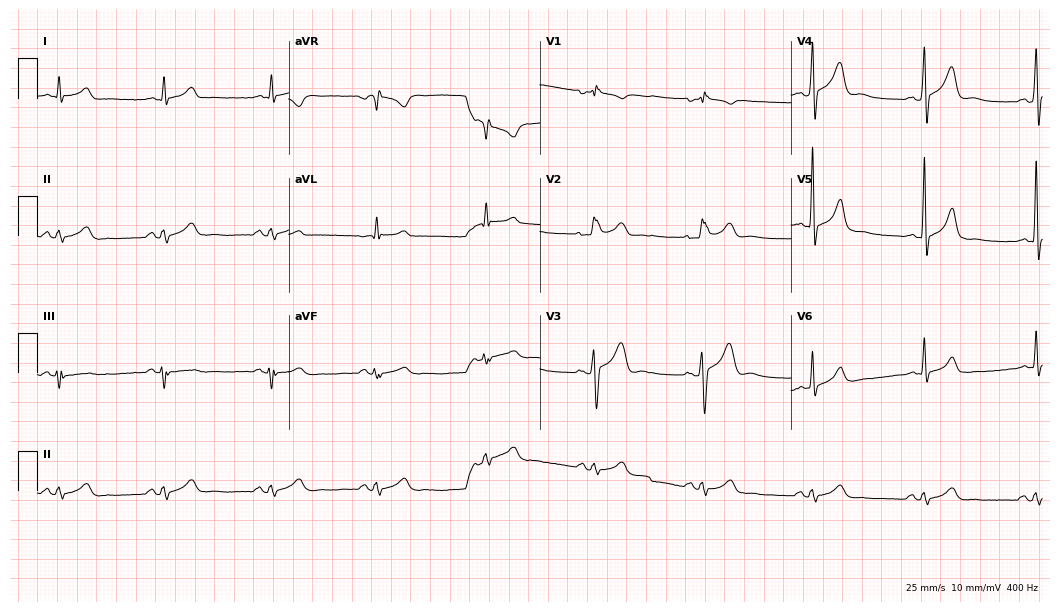
12-lead ECG from a male patient, 44 years old (10.2-second recording at 400 Hz). No first-degree AV block, right bundle branch block, left bundle branch block, sinus bradycardia, atrial fibrillation or sinus tachycardia recorded for this tracing.